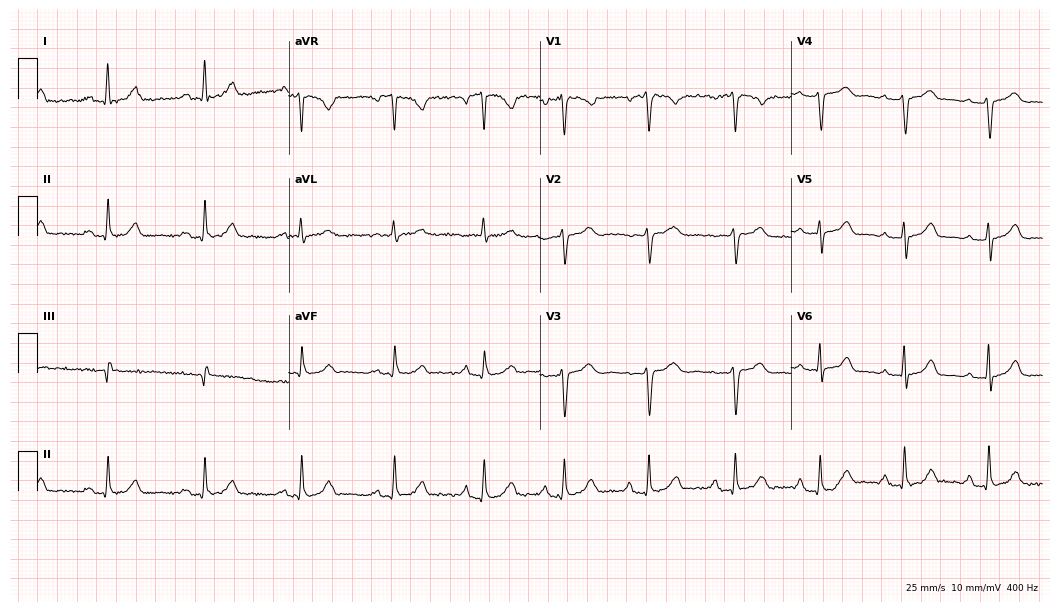
Standard 12-lead ECG recorded from a woman, 53 years old. Read as a normal ECG.